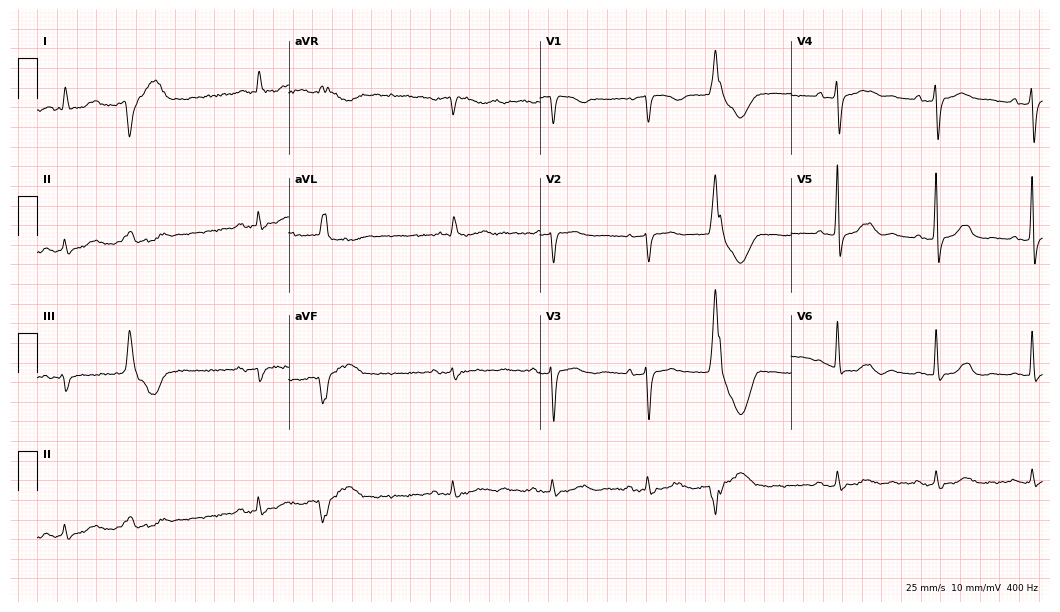
ECG — a female patient, 81 years old. Screened for six findings — first-degree AV block, right bundle branch block (RBBB), left bundle branch block (LBBB), sinus bradycardia, atrial fibrillation (AF), sinus tachycardia — none is recorded. Only these six findings were labelled.